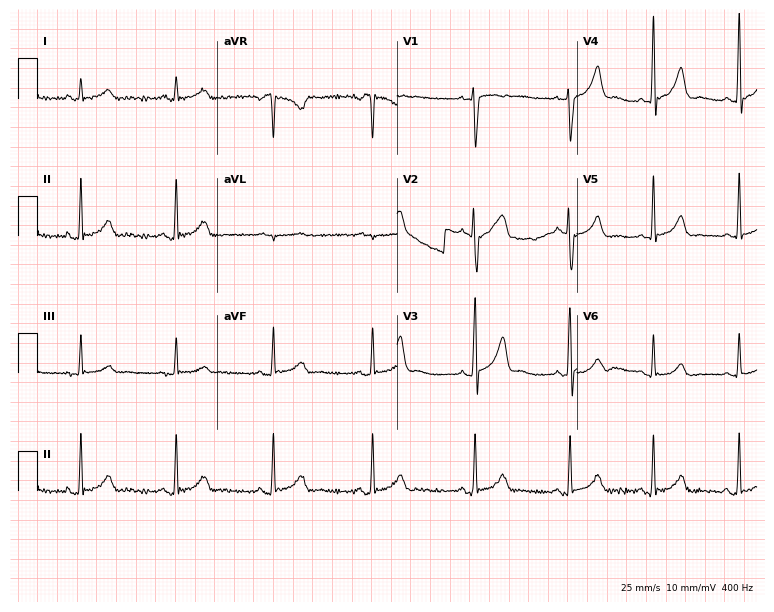
12-lead ECG from a 26-year-old woman. Screened for six findings — first-degree AV block, right bundle branch block, left bundle branch block, sinus bradycardia, atrial fibrillation, sinus tachycardia — none is recorded.